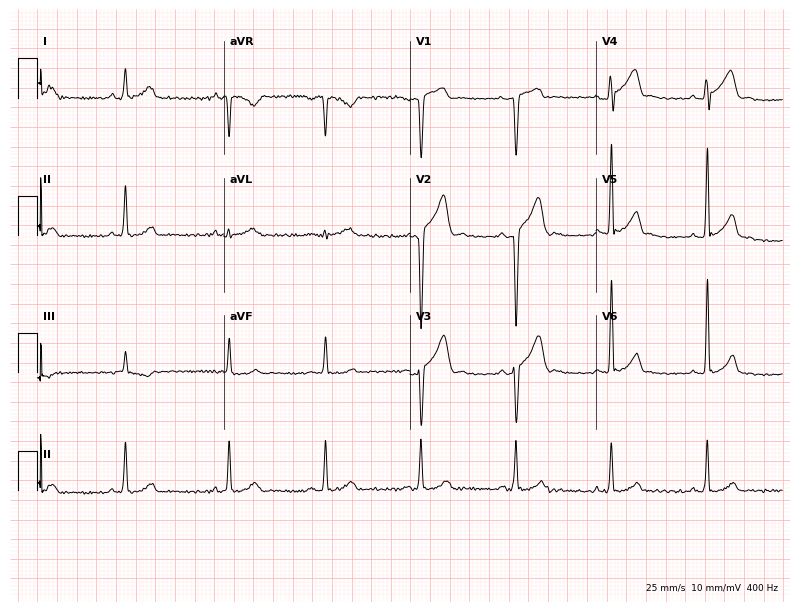
ECG (7.6-second recording at 400 Hz) — a male patient, 22 years old. Screened for six findings — first-degree AV block, right bundle branch block, left bundle branch block, sinus bradycardia, atrial fibrillation, sinus tachycardia — none is recorded.